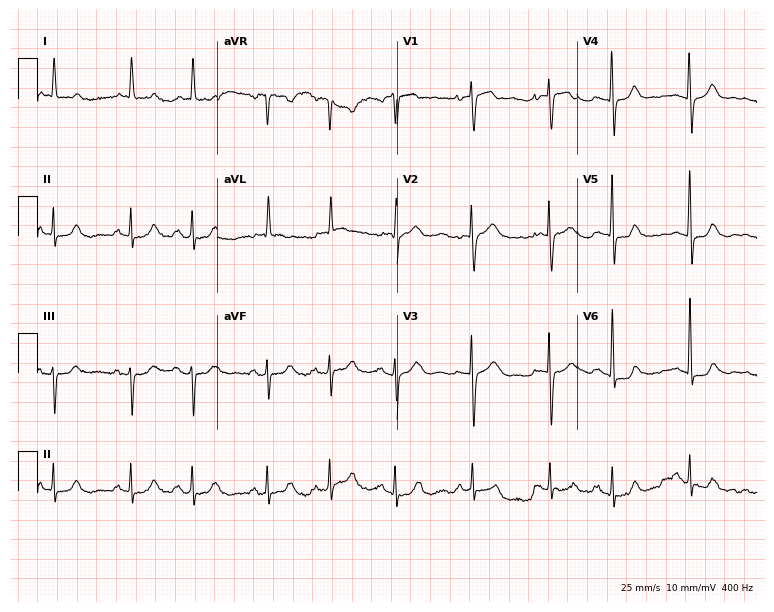
12-lead ECG from an 80-year-old female. Labelled as a normal ECG.